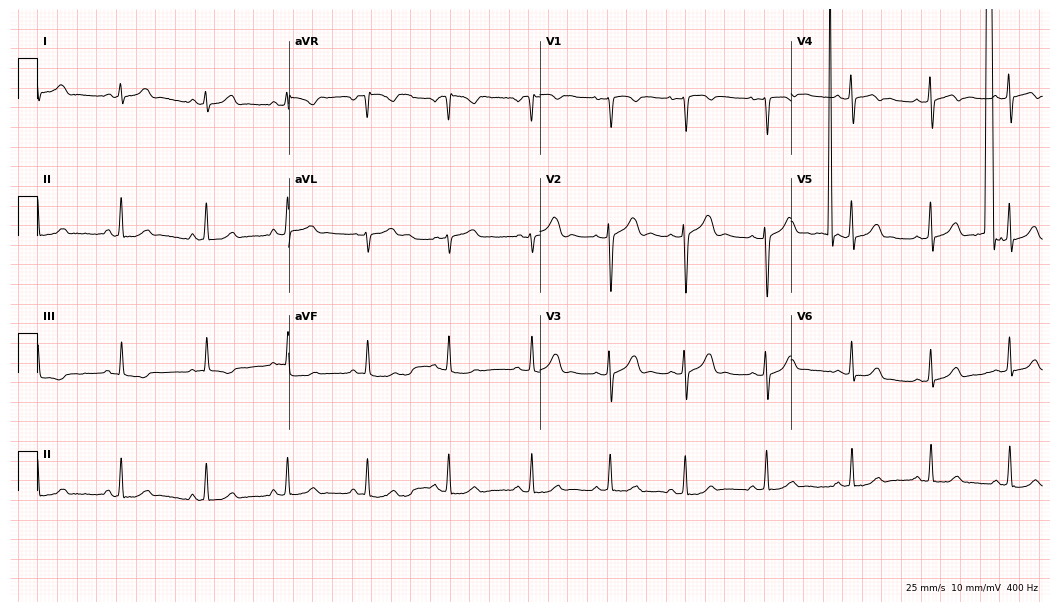
ECG (10.2-second recording at 400 Hz) — a 21-year-old woman. Screened for six findings — first-degree AV block, right bundle branch block (RBBB), left bundle branch block (LBBB), sinus bradycardia, atrial fibrillation (AF), sinus tachycardia — none is recorded. Other findings, if any, are not listed.